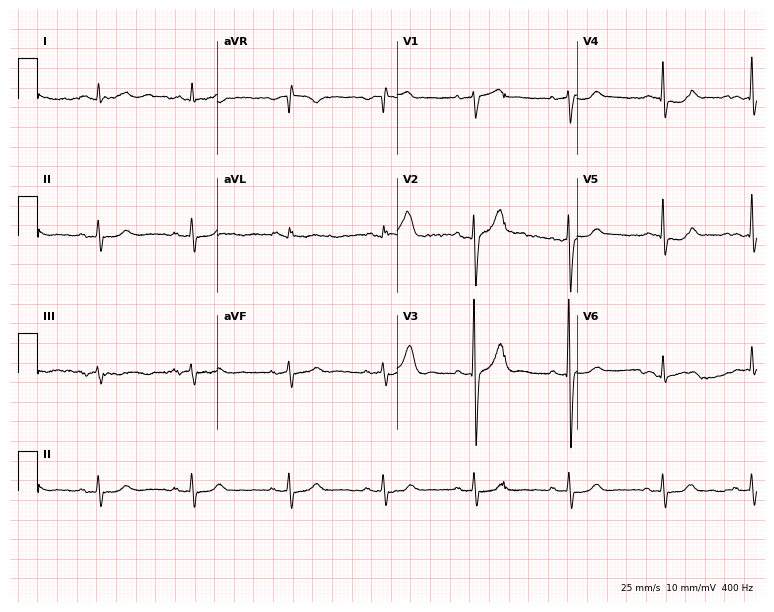
Standard 12-lead ECG recorded from a 63-year-old male patient. None of these six findings is recorded: first-degree AV block, right bundle branch block (RBBB), left bundle branch block (LBBB), sinus bradycardia, atrial fibrillation (AF), sinus tachycardia.